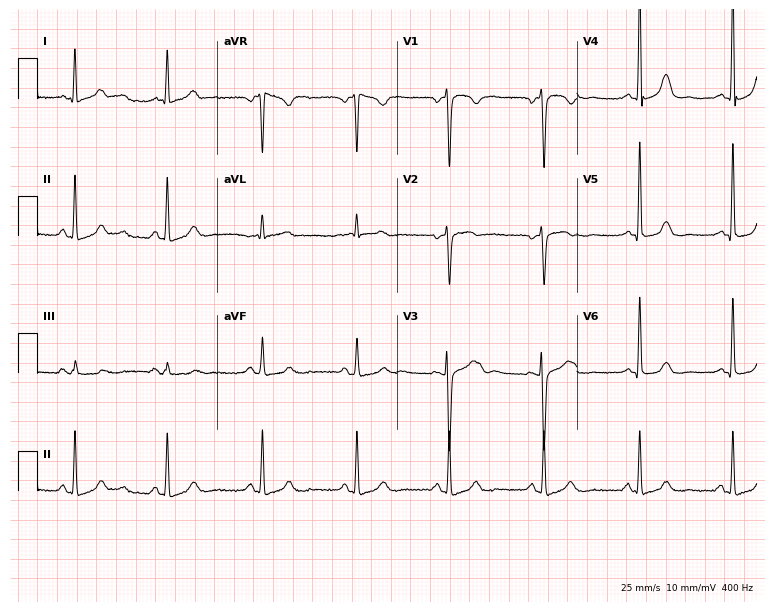
12-lead ECG from a female, 49 years old. No first-degree AV block, right bundle branch block, left bundle branch block, sinus bradycardia, atrial fibrillation or sinus tachycardia recorded for this tracing.